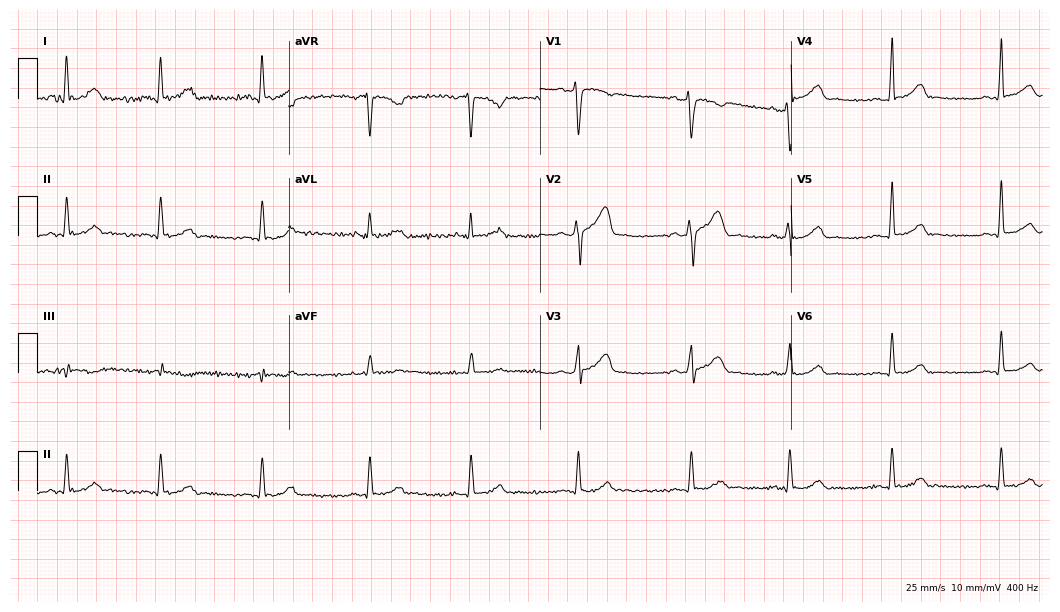
ECG — a male patient, 37 years old. Screened for six findings — first-degree AV block, right bundle branch block, left bundle branch block, sinus bradycardia, atrial fibrillation, sinus tachycardia — none is recorded.